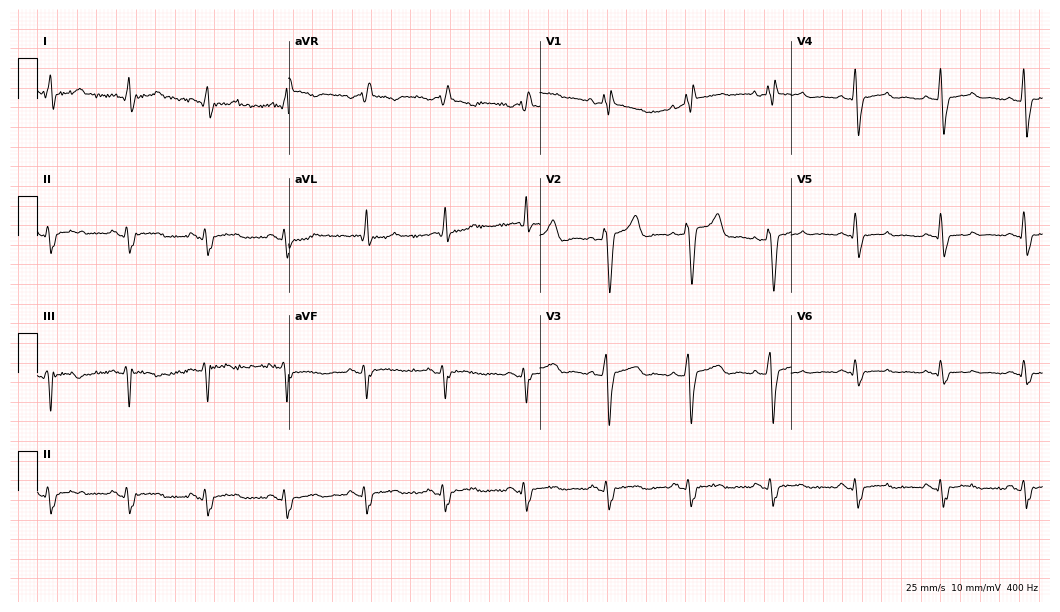
12-lead ECG (10.2-second recording at 400 Hz) from a 49-year-old woman. Findings include right bundle branch block.